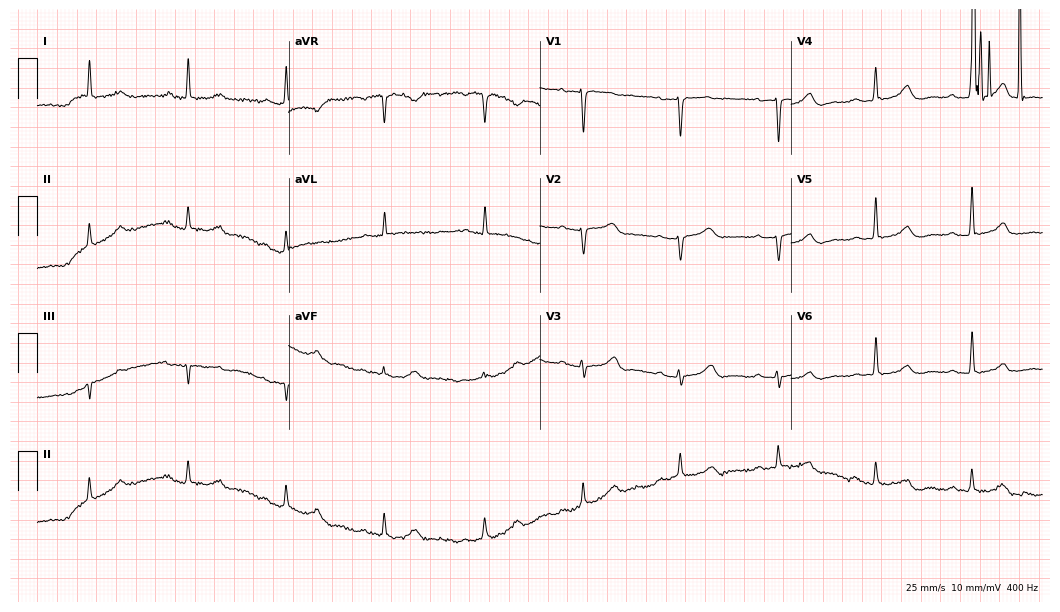
Standard 12-lead ECG recorded from a 53-year-old woman. The tracing shows first-degree AV block.